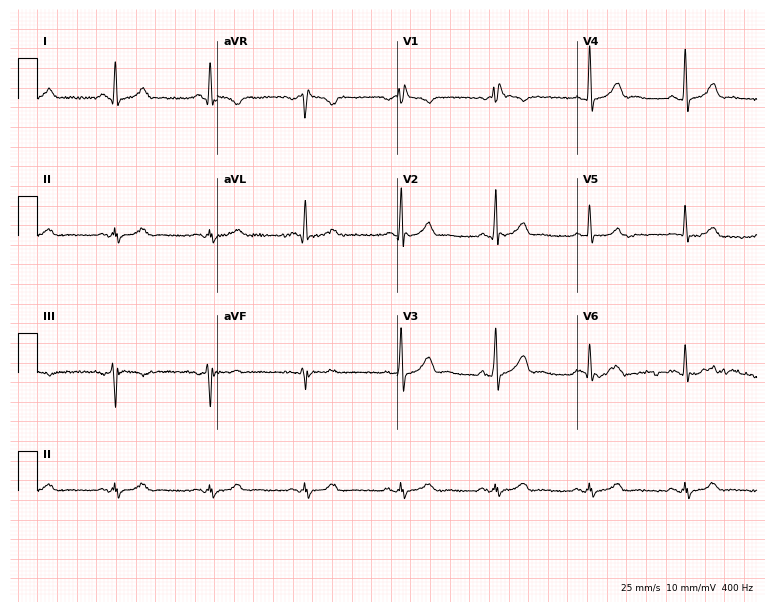
ECG — a man, 74 years old. Screened for six findings — first-degree AV block, right bundle branch block, left bundle branch block, sinus bradycardia, atrial fibrillation, sinus tachycardia — none is recorded. Findings outside these six are not listed.